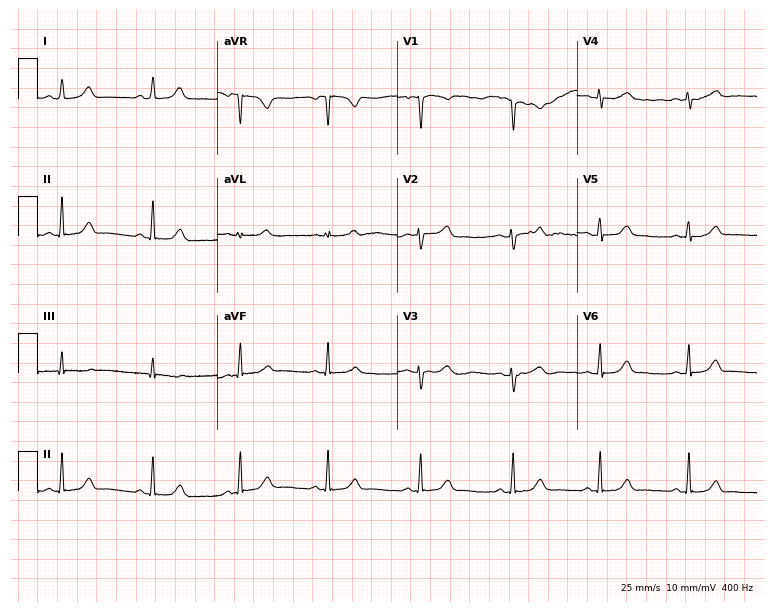
12-lead ECG from a female, 30 years old (7.3-second recording at 400 Hz). Recorded interpretation: within normal limits.